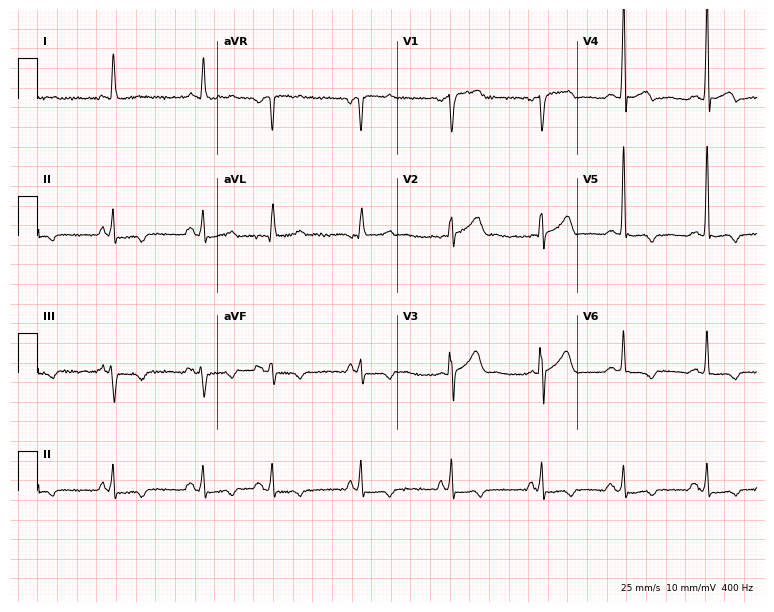
Electrocardiogram (7.3-second recording at 400 Hz), a male patient, 79 years old. Of the six screened findings (first-degree AV block, right bundle branch block (RBBB), left bundle branch block (LBBB), sinus bradycardia, atrial fibrillation (AF), sinus tachycardia), none is recorded. Findings outside these six are not listed.